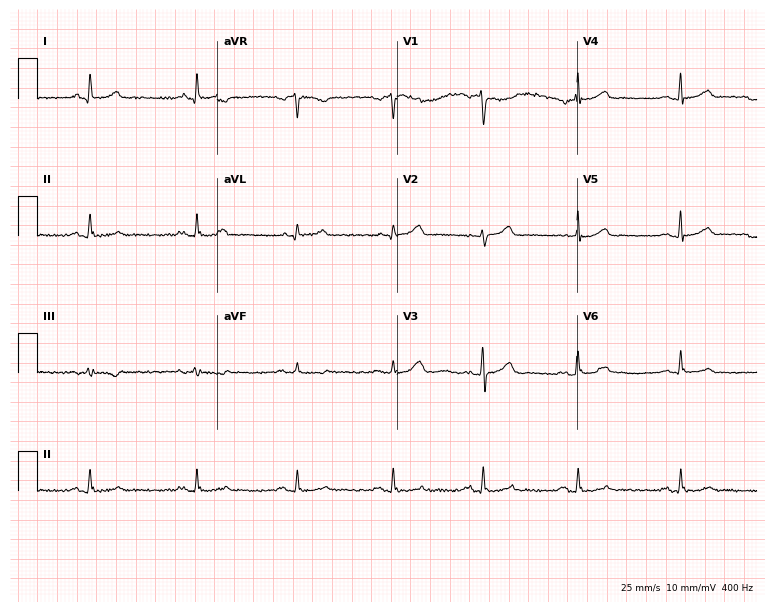
Standard 12-lead ECG recorded from a 52-year-old male patient (7.3-second recording at 400 Hz). Read as a normal ECG.